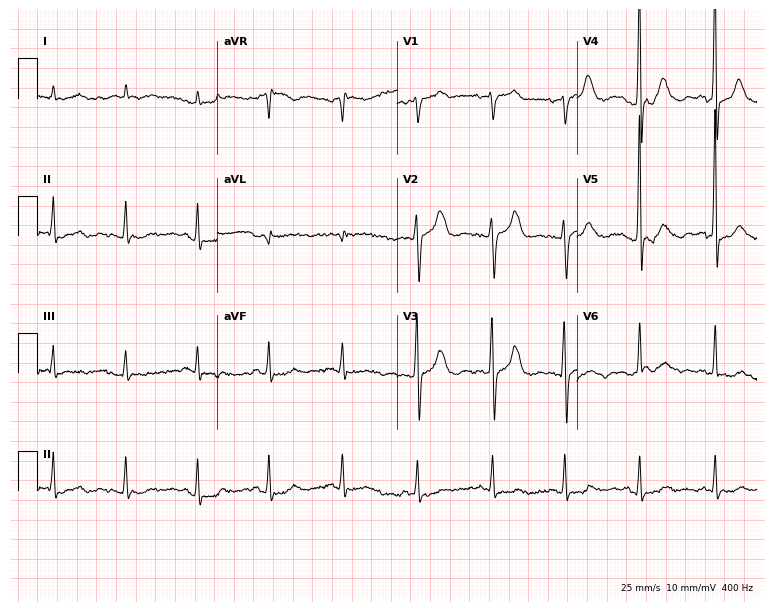
12-lead ECG (7.3-second recording at 400 Hz) from a 71-year-old female patient. Screened for six findings — first-degree AV block, right bundle branch block (RBBB), left bundle branch block (LBBB), sinus bradycardia, atrial fibrillation (AF), sinus tachycardia — none is recorded. Only these six findings were labelled.